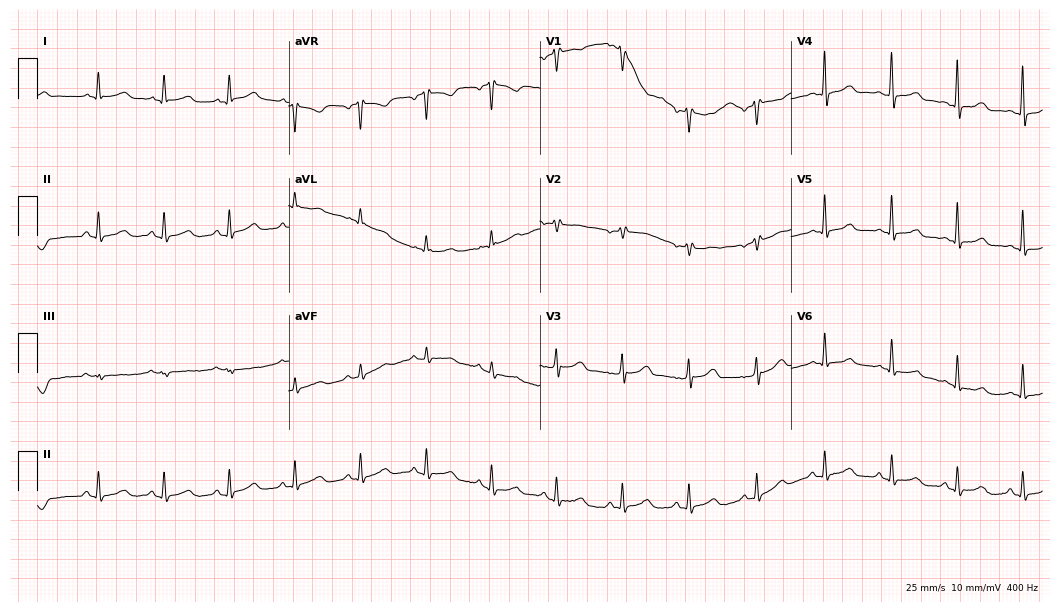
12-lead ECG from a female, 52 years old. Recorded interpretation: within normal limits.